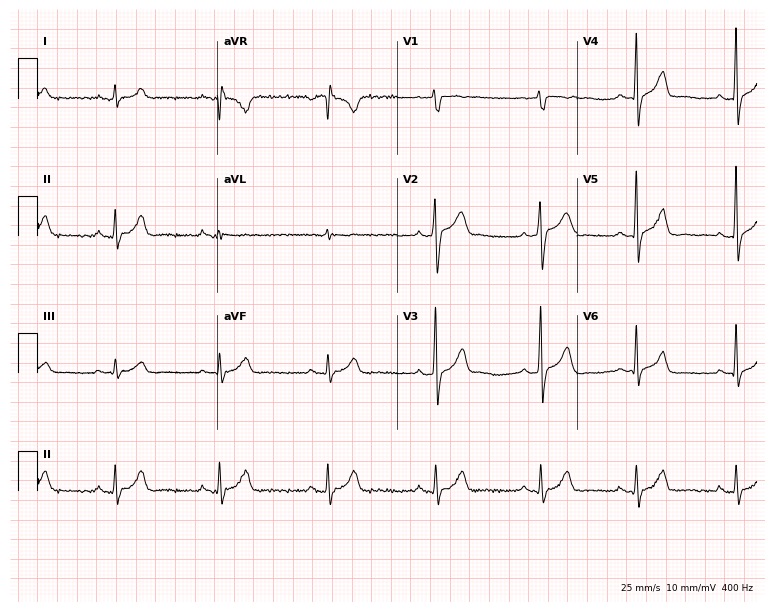
12-lead ECG (7.3-second recording at 400 Hz) from a 37-year-old male patient. Labelled as a normal ECG.